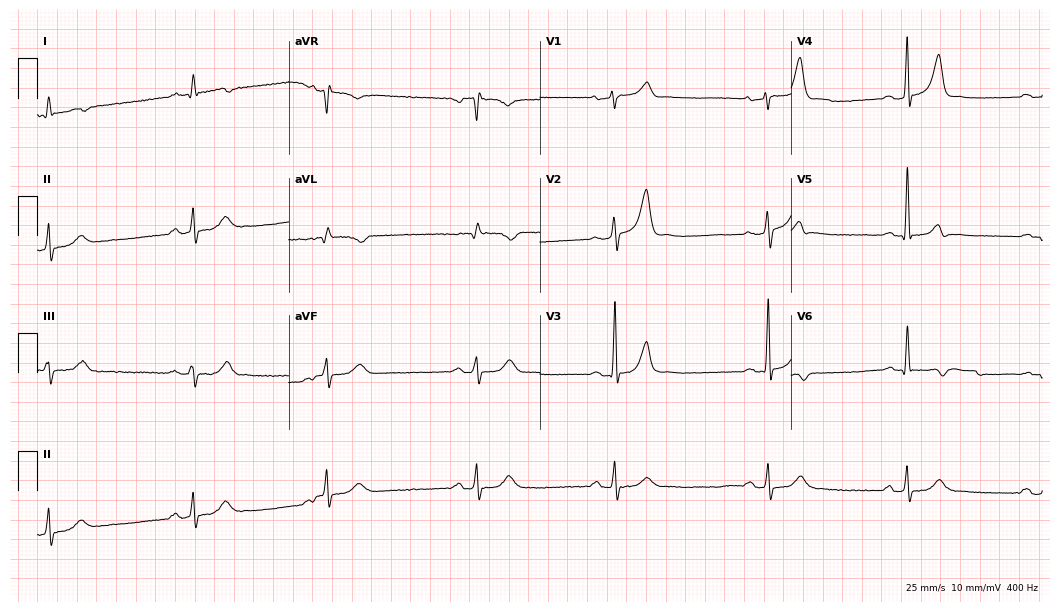
ECG (10.2-second recording at 400 Hz) — a 68-year-old male patient. Findings include sinus bradycardia (a sinus rate of 50 beats per minute or less).